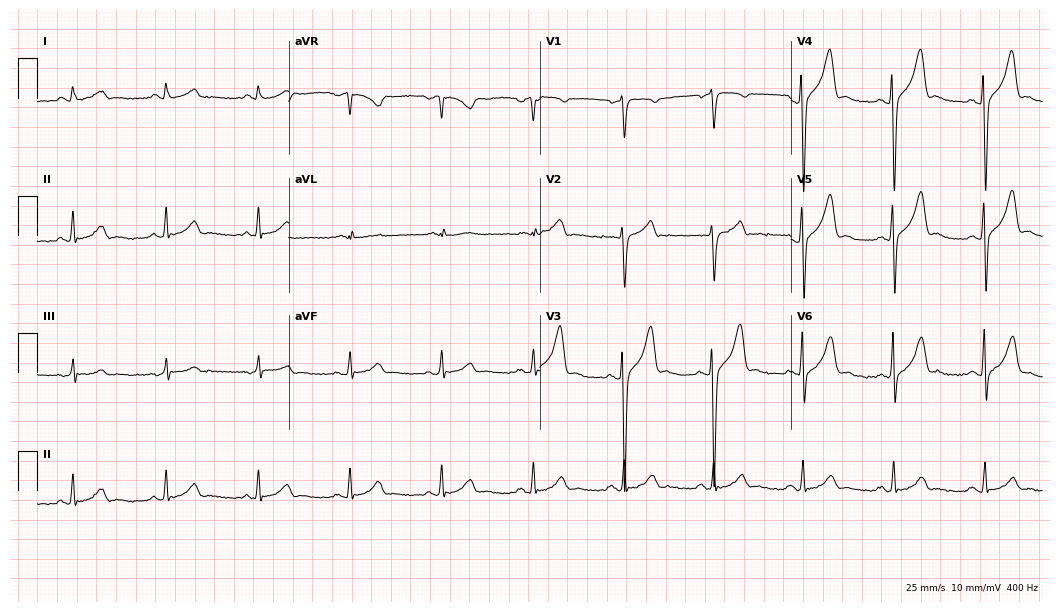
ECG — a 44-year-old male. Labelled as a normal ECG.